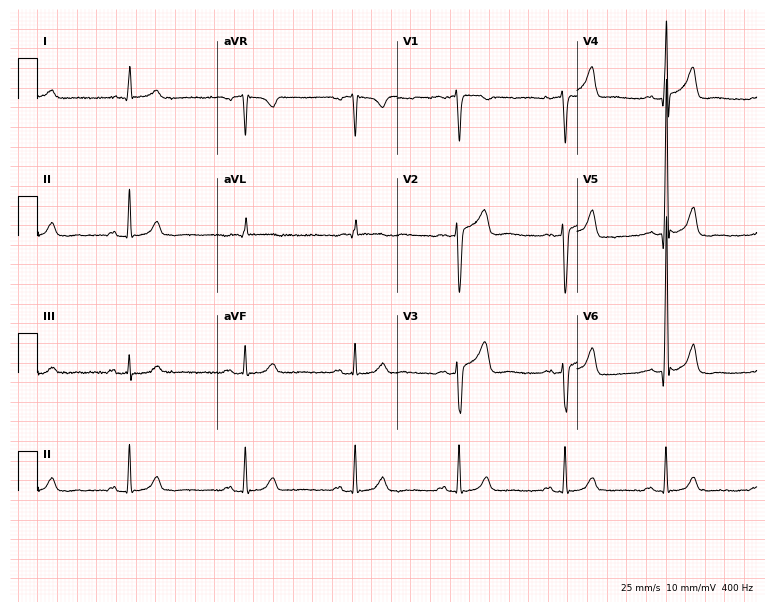
Resting 12-lead electrocardiogram. Patient: a 76-year-old male. None of these six findings is recorded: first-degree AV block, right bundle branch block, left bundle branch block, sinus bradycardia, atrial fibrillation, sinus tachycardia.